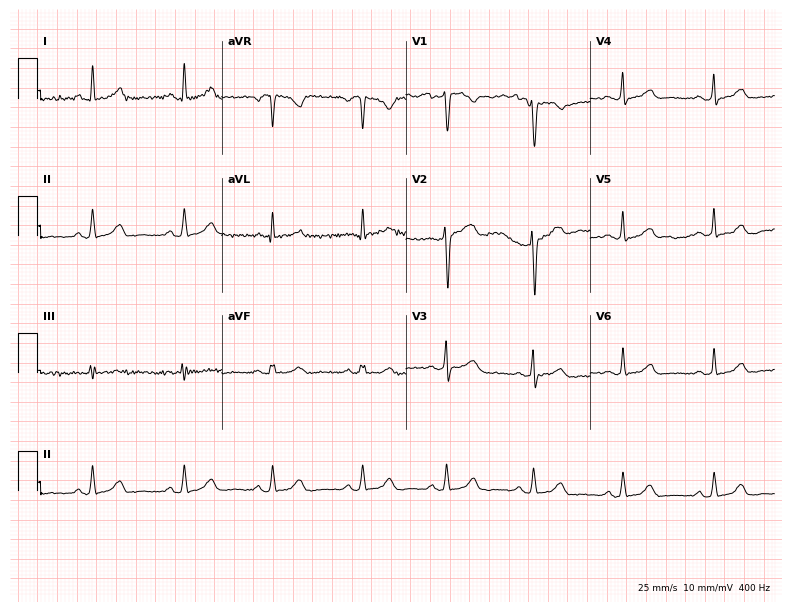
Electrocardiogram (7.5-second recording at 400 Hz), a 37-year-old female patient. Overall reading on record: normal ECG.